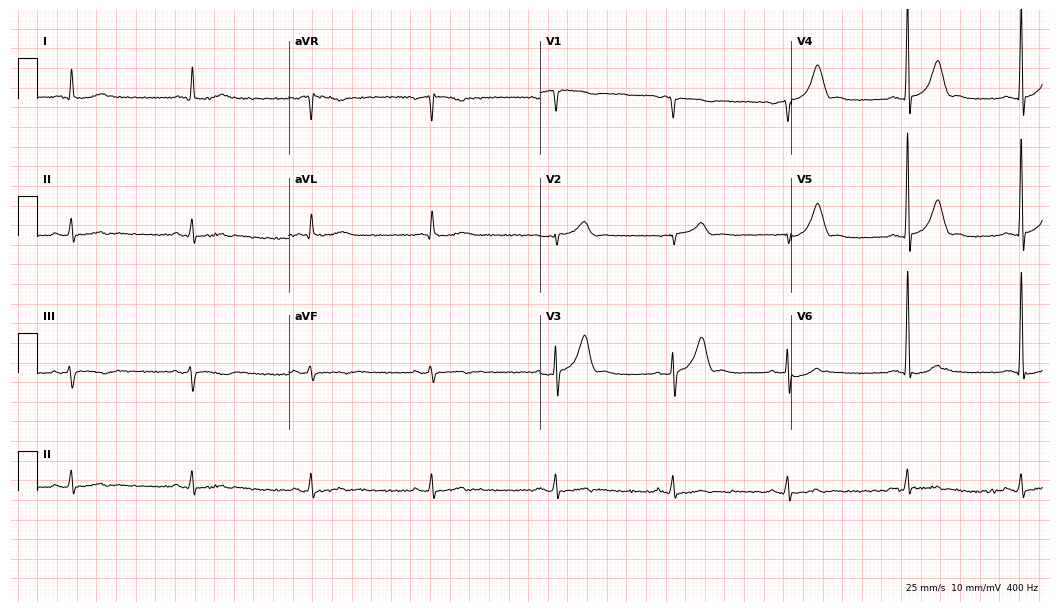
Standard 12-lead ECG recorded from a 68-year-old male patient (10.2-second recording at 400 Hz). Read as a normal ECG.